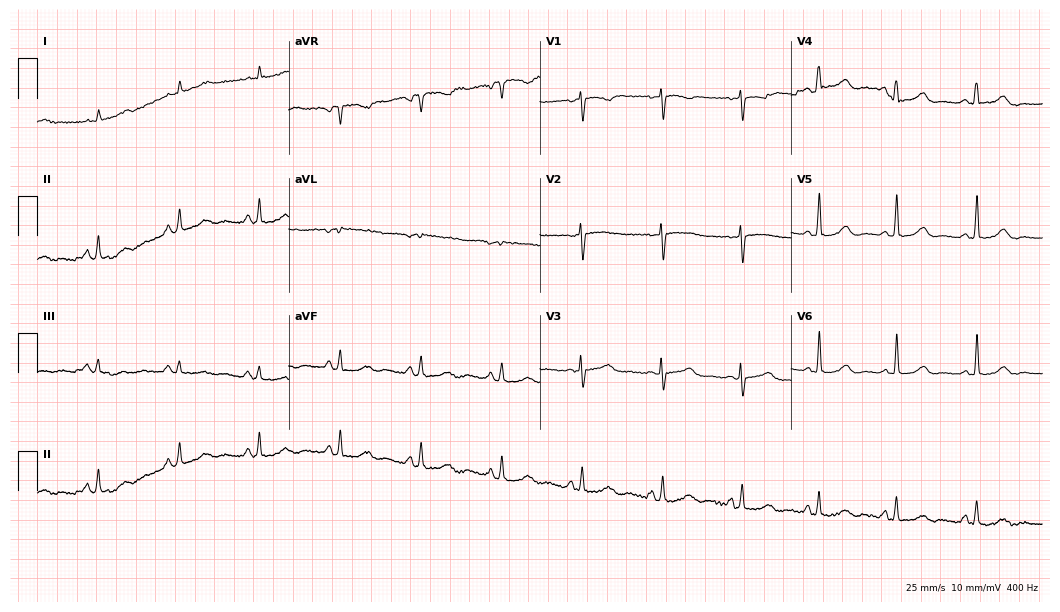
Standard 12-lead ECG recorded from a female, 77 years old (10.2-second recording at 400 Hz). Read as a normal ECG.